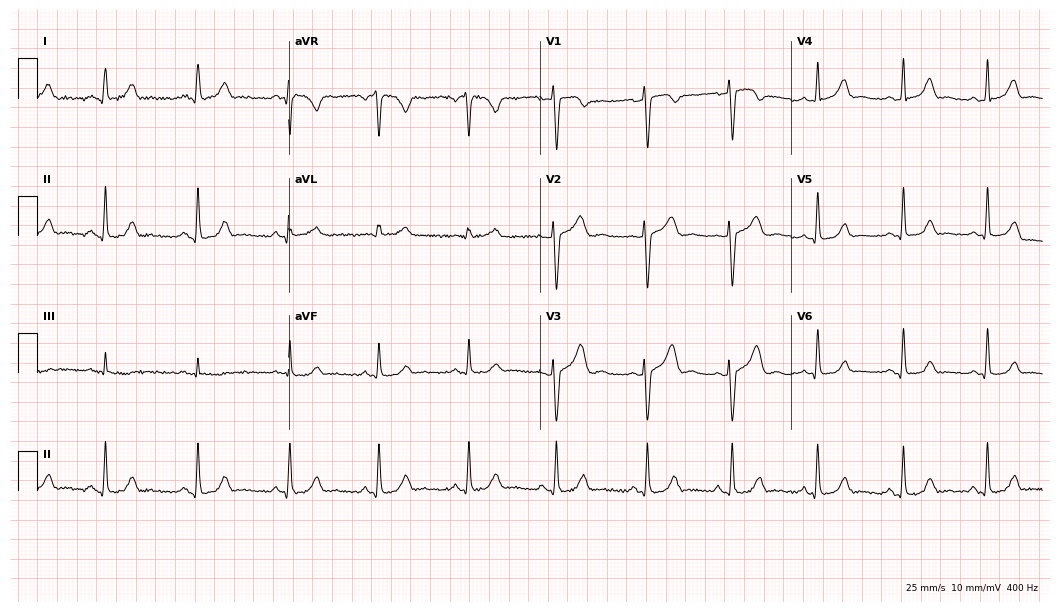
12-lead ECG from a female patient, 25 years old. Labelled as a normal ECG.